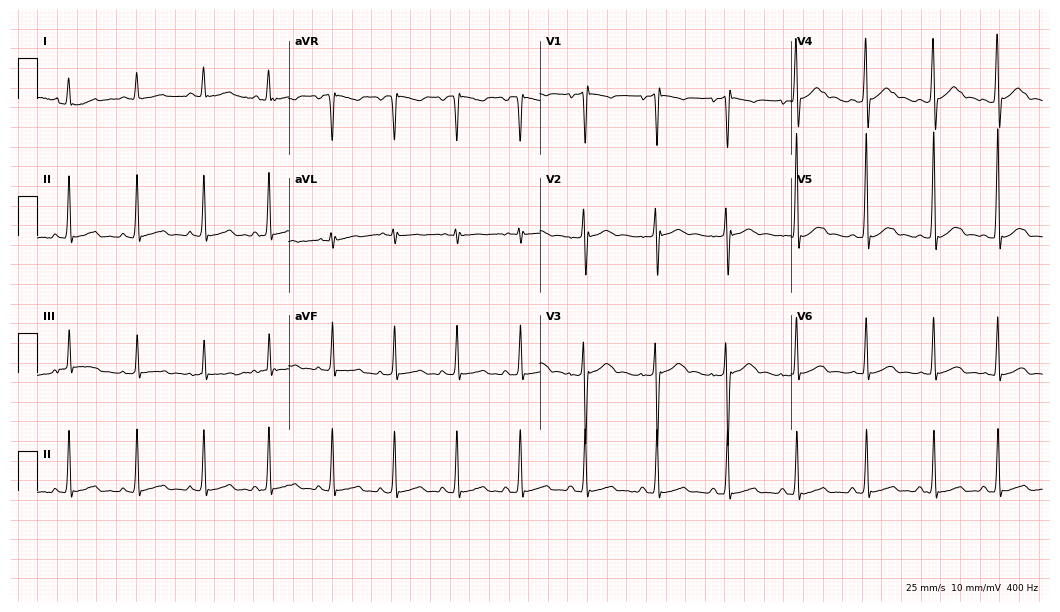
Electrocardiogram (10.2-second recording at 400 Hz), an 18-year-old male patient. Overall reading on record: normal ECG.